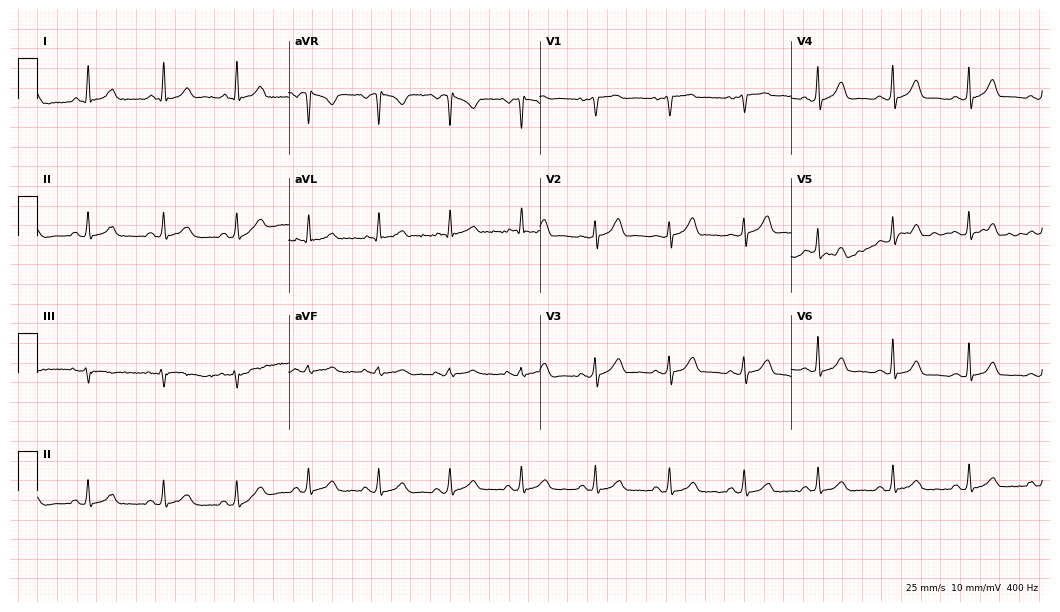
Electrocardiogram, a female patient, 60 years old. Overall reading on record: normal ECG.